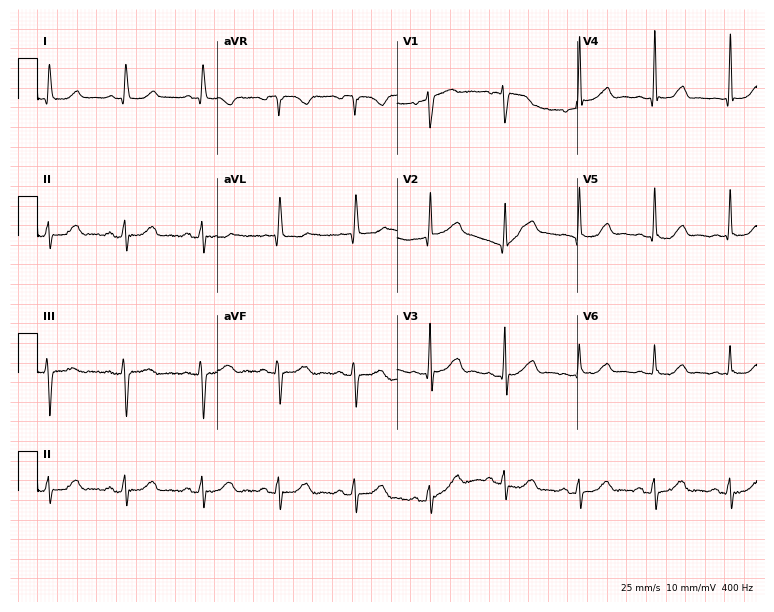
12-lead ECG from a male, 69 years old (7.3-second recording at 400 Hz). No first-degree AV block, right bundle branch block (RBBB), left bundle branch block (LBBB), sinus bradycardia, atrial fibrillation (AF) or sinus tachycardia recorded for this tracing.